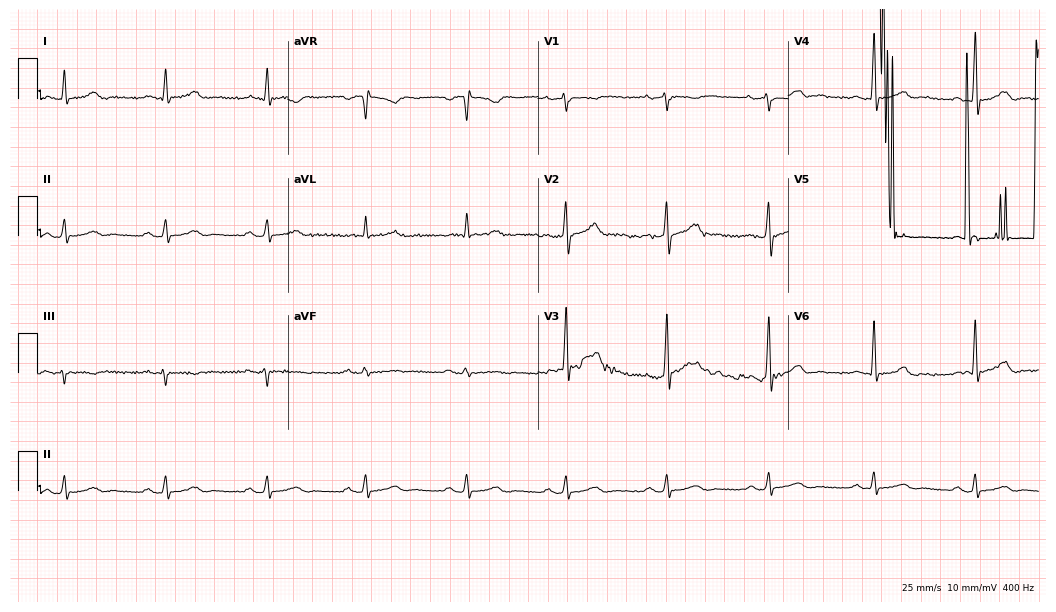
Standard 12-lead ECG recorded from a 62-year-old man. None of these six findings is recorded: first-degree AV block, right bundle branch block, left bundle branch block, sinus bradycardia, atrial fibrillation, sinus tachycardia.